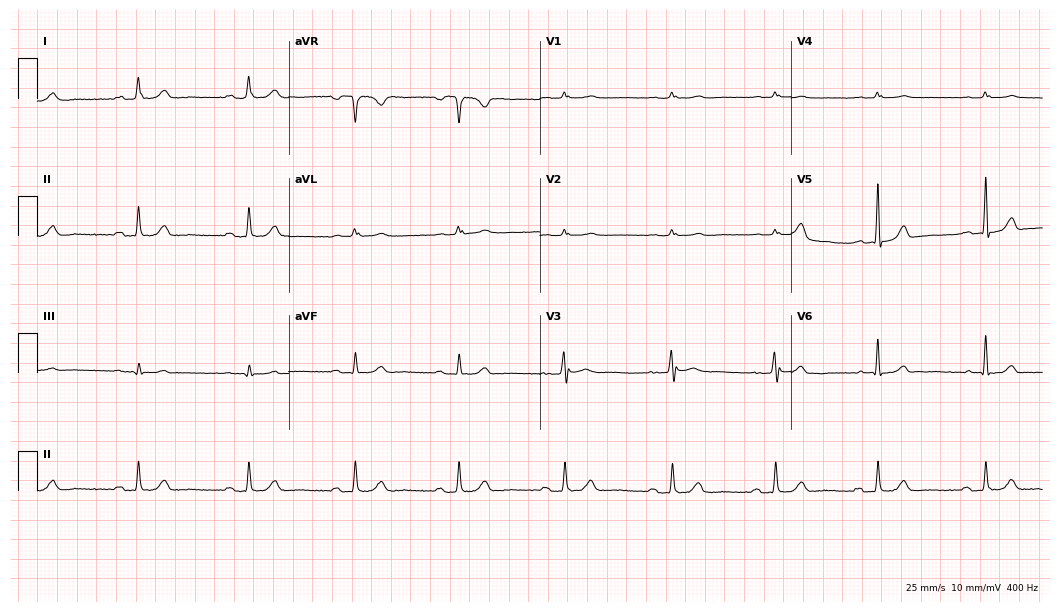
Electrocardiogram, a woman, 73 years old. Overall reading on record: normal ECG.